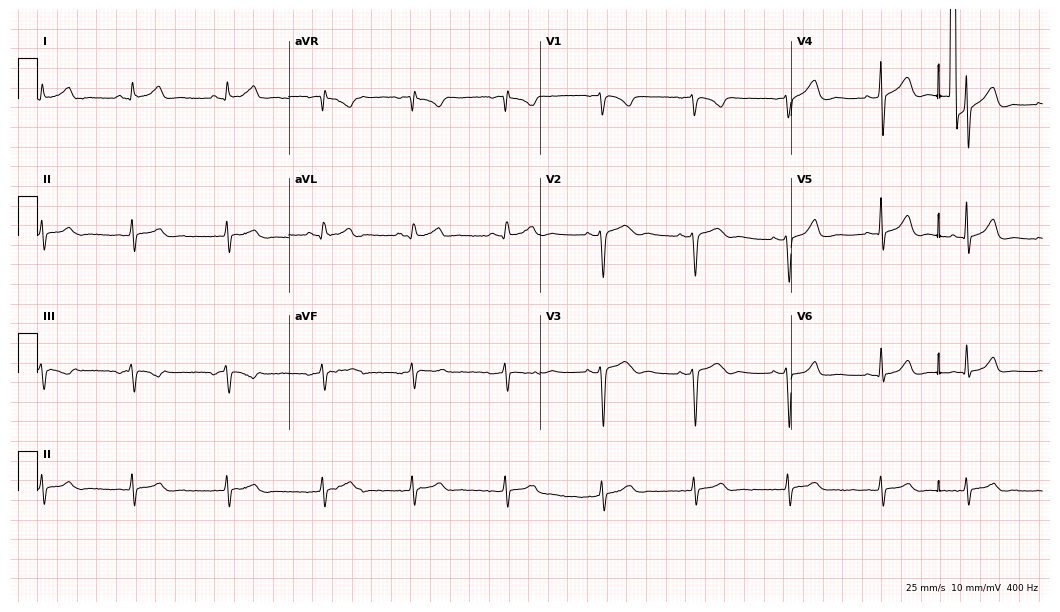
12-lead ECG from a female, 24 years old. Screened for six findings — first-degree AV block, right bundle branch block, left bundle branch block, sinus bradycardia, atrial fibrillation, sinus tachycardia — none is recorded. Only these six findings were labelled.